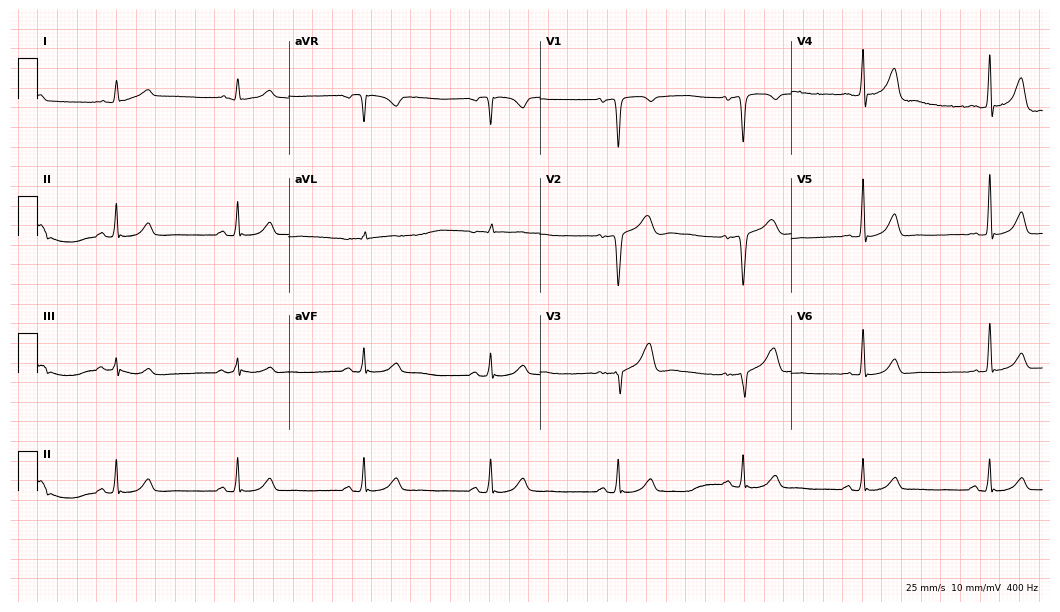
Standard 12-lead ECG recorded from a male patient, 56 years old. The tracing shows sinus bradycardia (a sinus rate of 50 beats per minute or less).